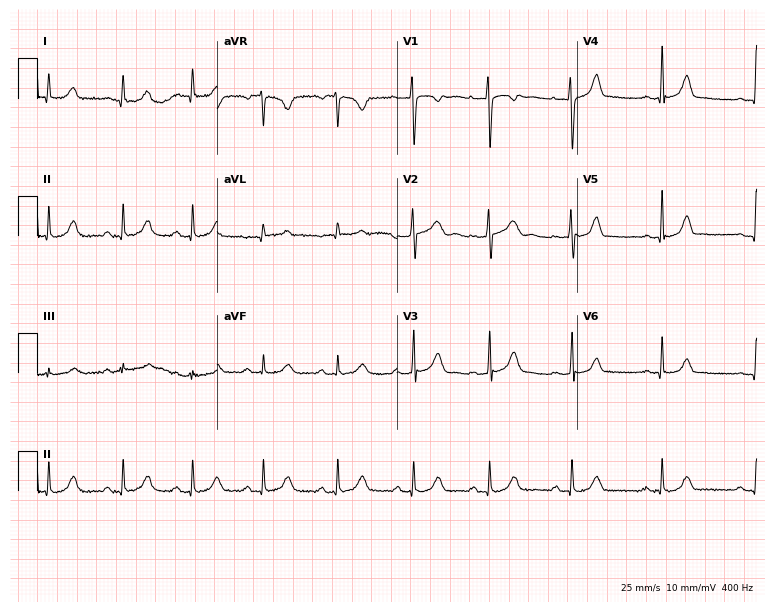
Standard 12-lead ECG recorded from a 29-year-old female patient (7.3-second recording at 400 Hz). None of these six findings is recorded: first-degree AV block, right bundle branch block (RBBB), left bundle branch block (LBBB), sinus bradycardia, atrial fibrillation (AF), sinus tachycardia.